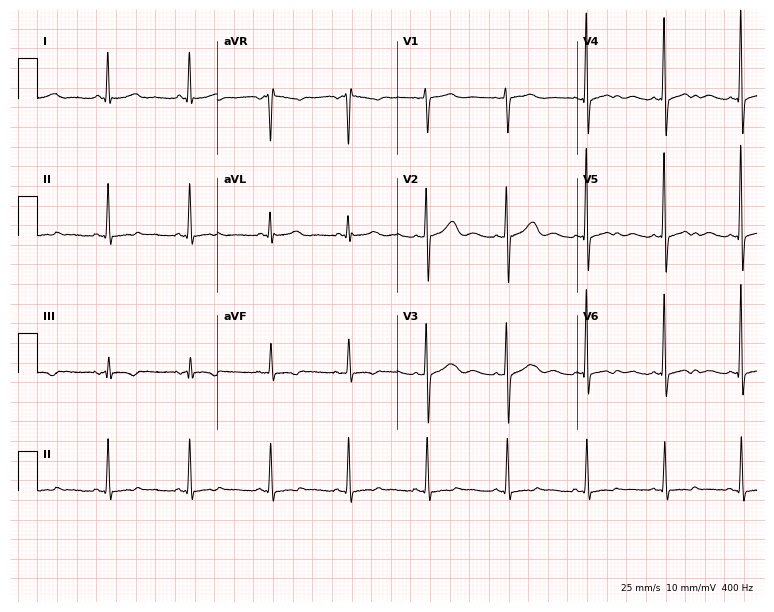
Resting 12-lead electrocardiogram. Patient: a 64-year-old female. None of these six findings is recorded: first-degree AV block, right bundle branch block (RBBB), left bundle branch block (LBBB), sinus bradycardia, atrial fibrillation (AF), sinus tachycardia. Findings outside these six are not listed.